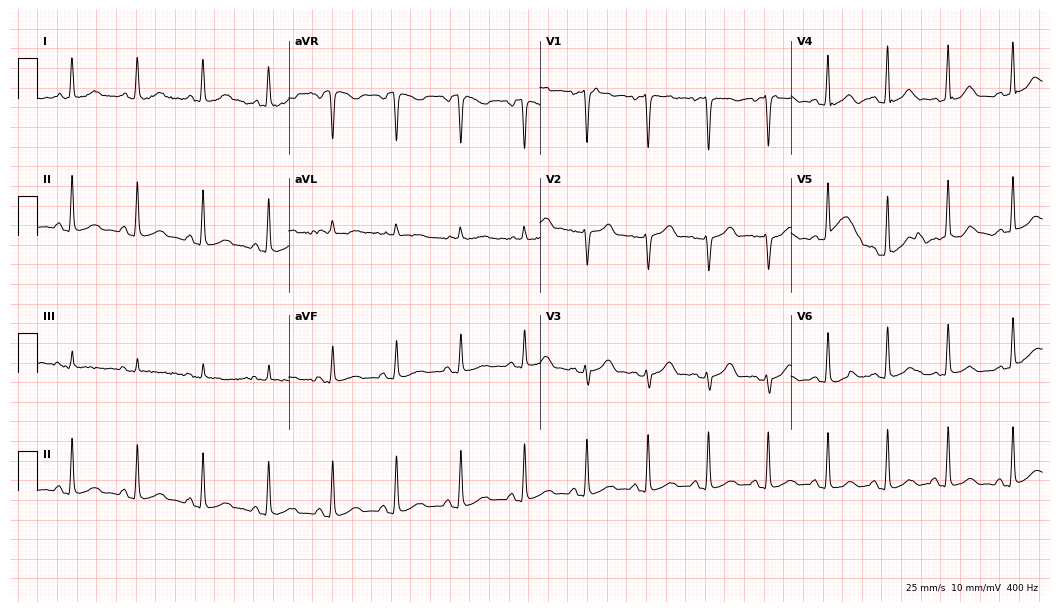
ECG (10.2-second recording at 400 Hz) — a 35-year-old female. Screened for six findings — first-degree AV block, right bundle branch block (RBBB), left bundle branch block (LBBB), sinus bradycardia, atrial fibrillation (AF), sinus tachycardia — none is recorded.